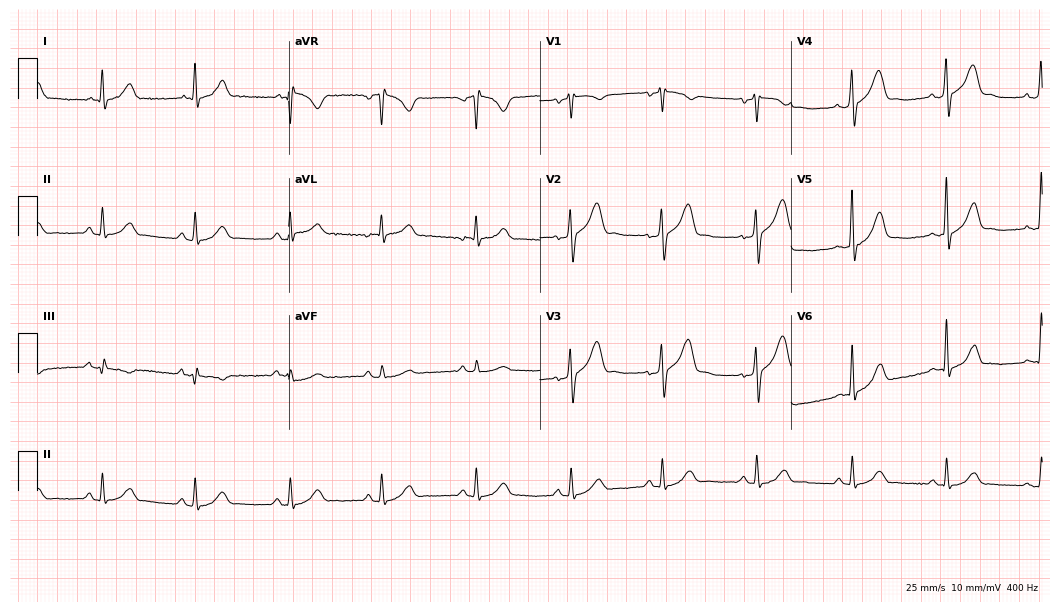
Electrocardiogram, a 57-year-old male. Overall reading on record: normal ECG.